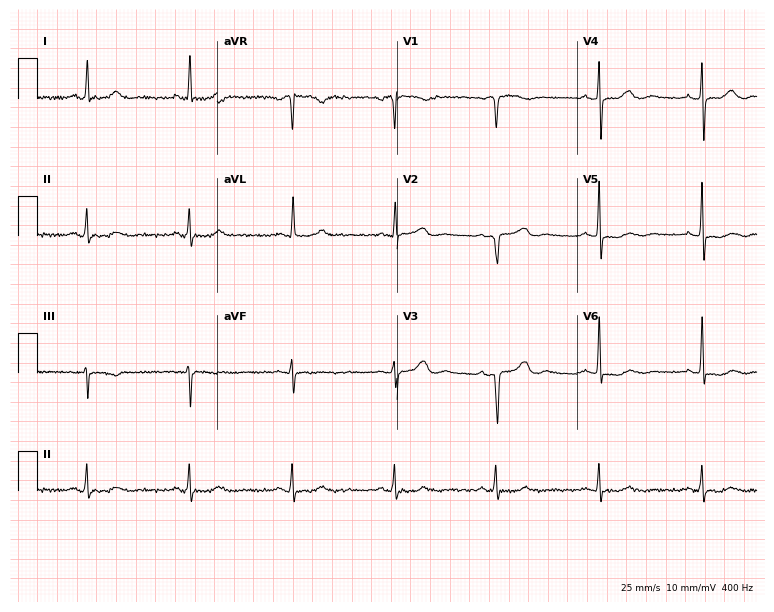
12-lead ECG from a female, 69 years old. Screened for six findings — first-degree AV block, right bundle branch block, left bundle branch block, sinus bradycardia, atrial fibrillation, sinus tachycardia — none is recorded.